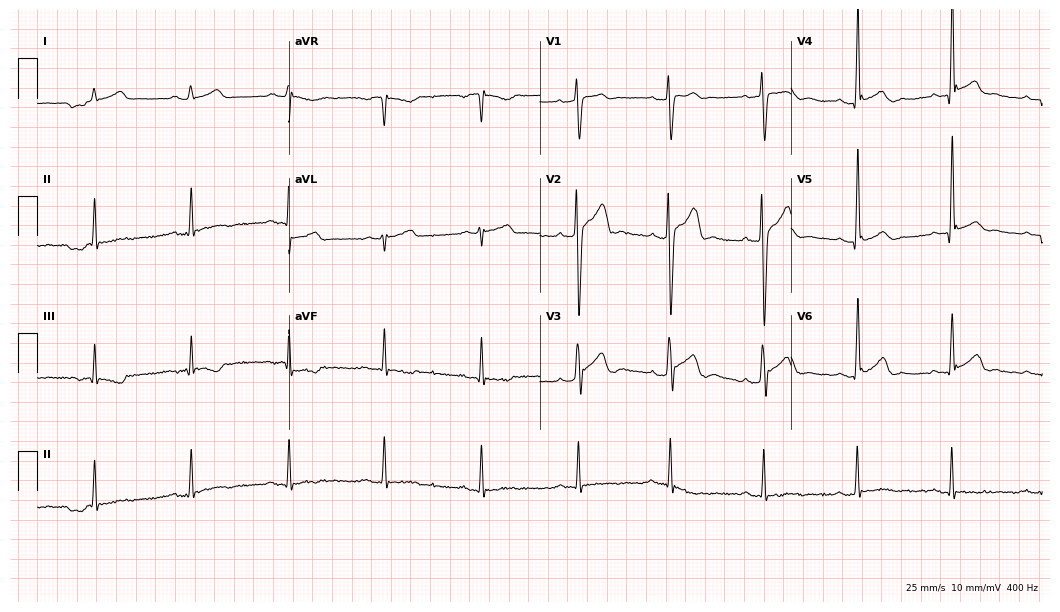
Electrocardiogram, a man, 36 years old. Of the six screened findings (first-degree AV block, right bundle branch block (RBBB), left bundle branch block (LBBB), sinus bradycardia, atrial fibrillation (AF), sinus tachycardia), none is recorded.